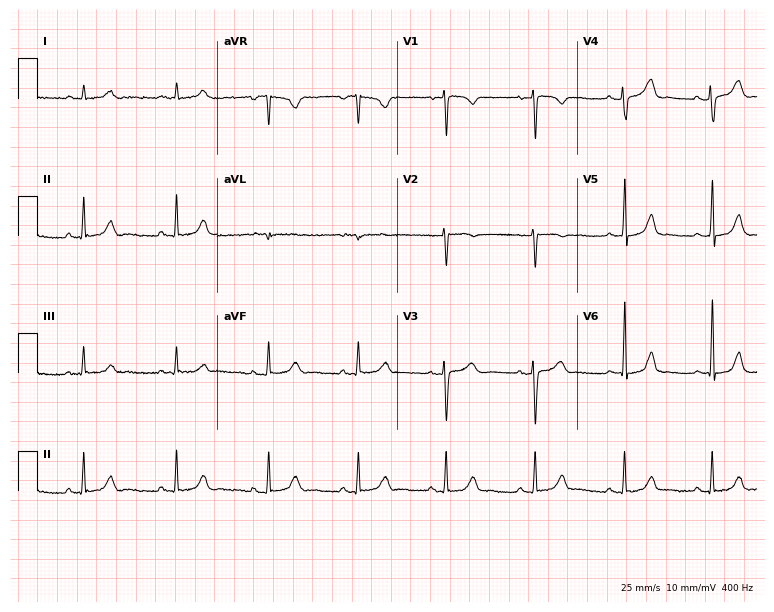
Standard 12-lead ECG recorded from a 43-year-old woman. Read as a normal ECG.